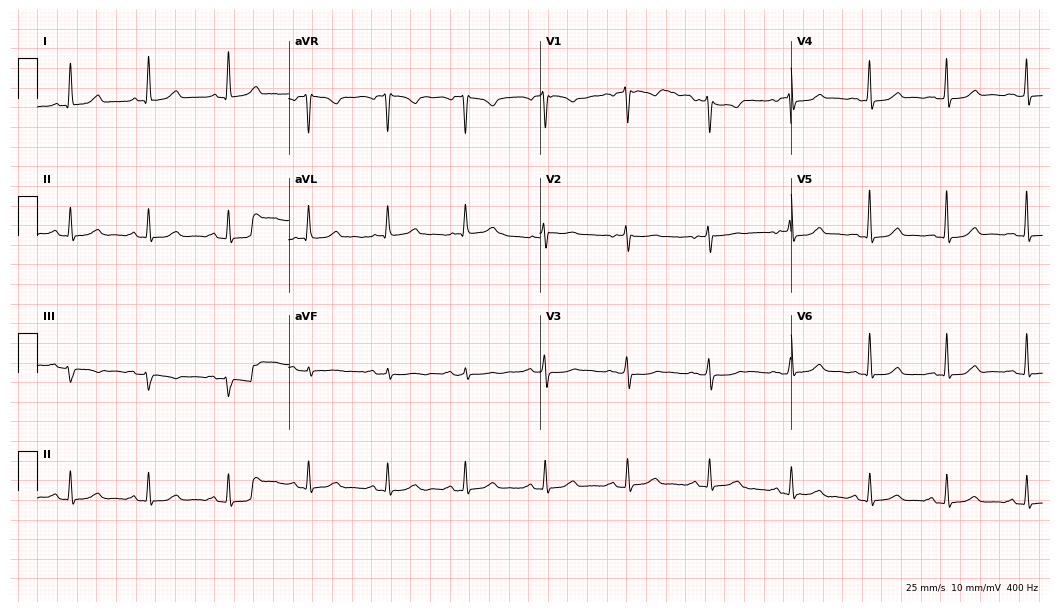
12-lead ECG from a woman, 50 years old. Recorded interpretation: within normal limits.